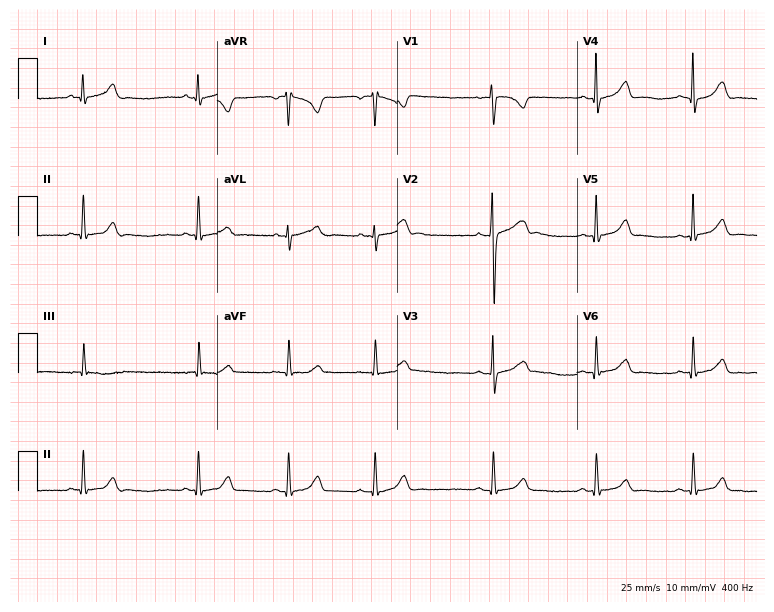
Standard 12-lead ECG recorded from a 20-year-old woman (7.3-second recording at 400 Hz). None of these six findings is recorded: first-degree AV block, right bundle branch block (RBBB), left bundle branch block (LBBB), sinus bradycardia, atrial fibrillation (AF), sinus tachycardia. Other findings, if any, are not listed.